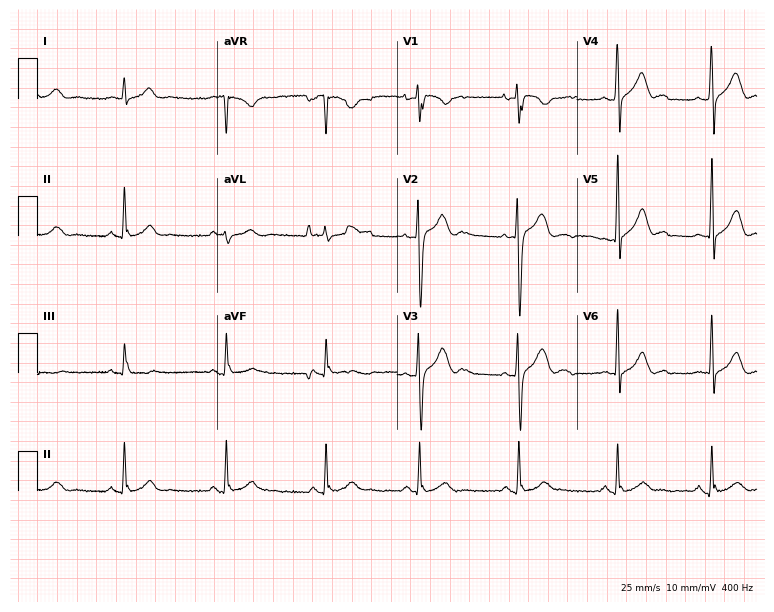
12-lead ECG from a man, 24 years old (7.3-second recording at 400 Hz). No first-degree AV block, right bundle branch block, left bundle branch block, sinus bradycardia, atrial fibrillation or sinus tachycardia recorded for this tracing. Only these six findings were labelled.